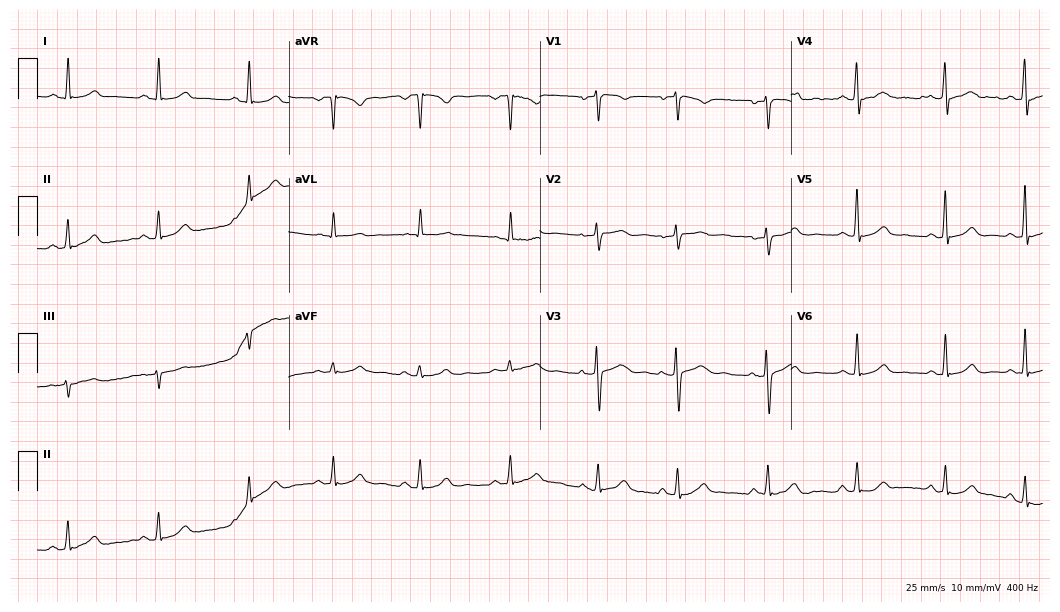
ECG (10.2-second recording at 400 Hz) — a 56-year-old female patient. Labelled as a normal ECG.